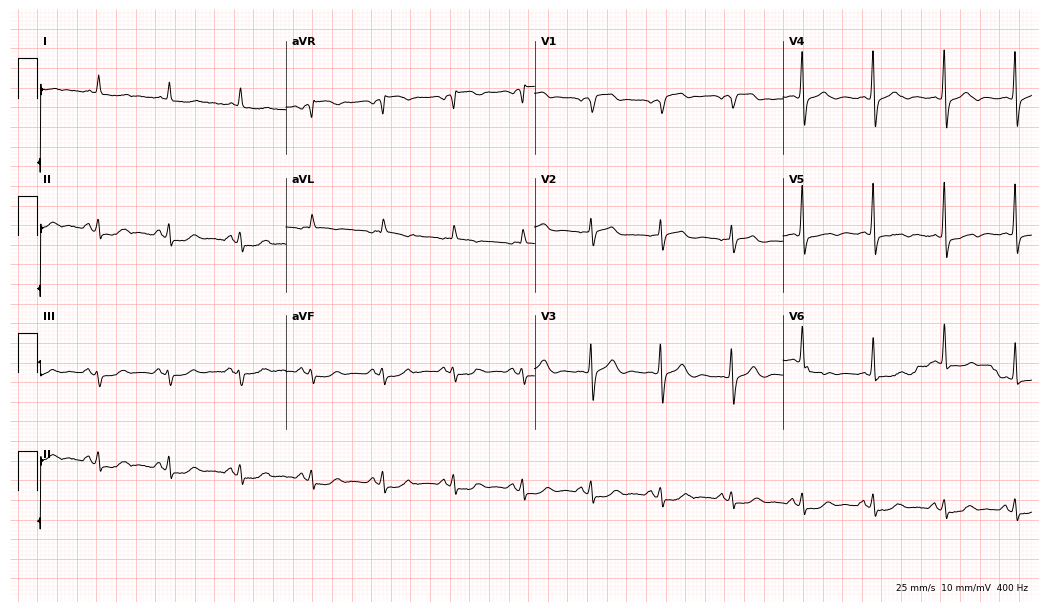
12-lead ECG (10.1-second recording at 400 Hz) from a 75-year-old male. Screened for six findings — first-degree AV block, right bundle branch block, left bundle branch block, sinus bradycardia, atrial fibrillation, sinus tachycardia — none is recorded.